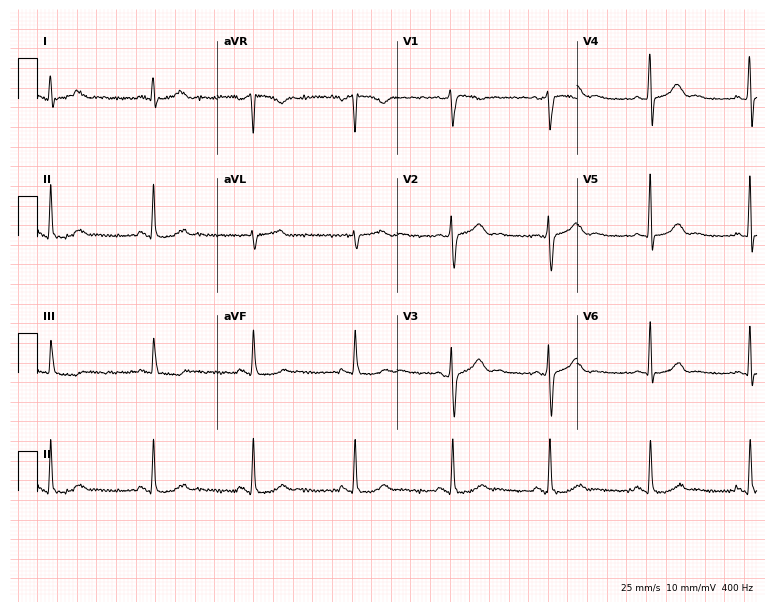
12-lead ECG from a 34-year-old female (7.3-second recording at 400 Hz). Recorded interpretation: within normal limits.